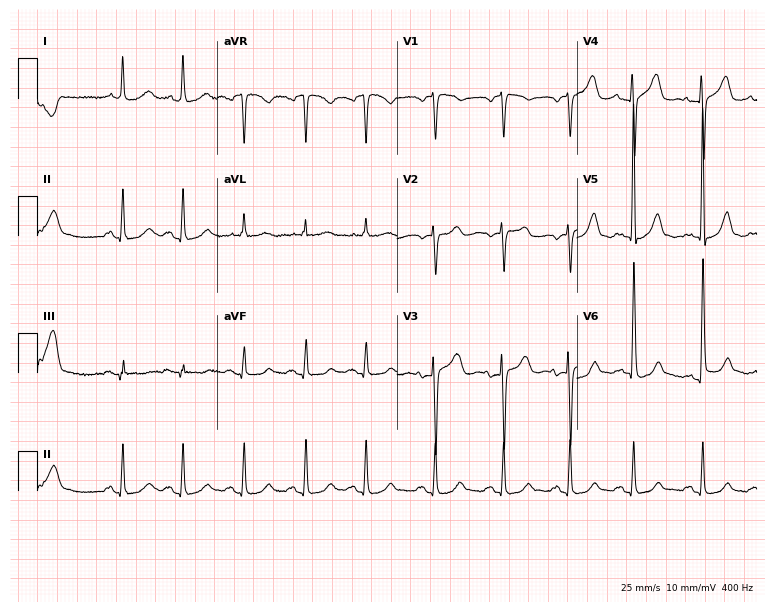
Standard 12-lead ECG recorded from a female patient, 66 years old. None of these six findings is recorded: first-degree AV block, right bundle branch block, left bundle branch block, sinus bradycardia, atrial fibrillation, sinus tachycardia.